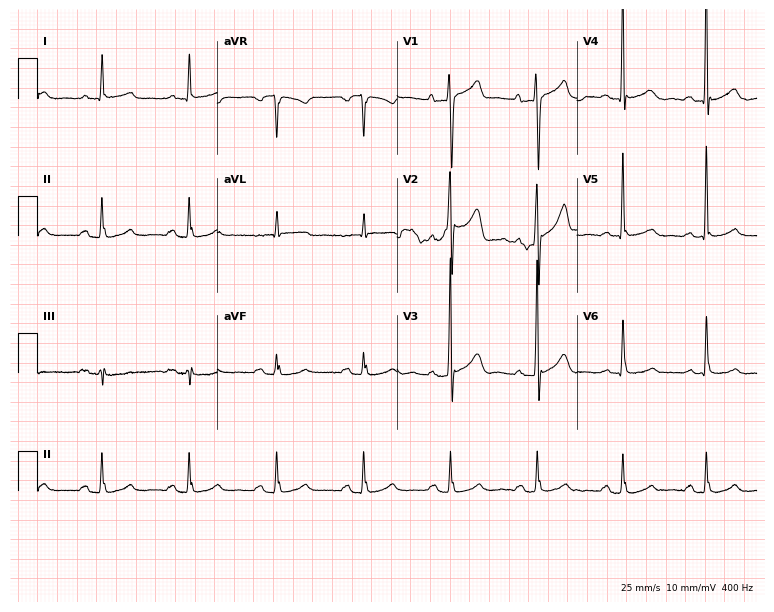
12-lead ECG from a 60-year-old male patient. Labelled as a normal ECG.